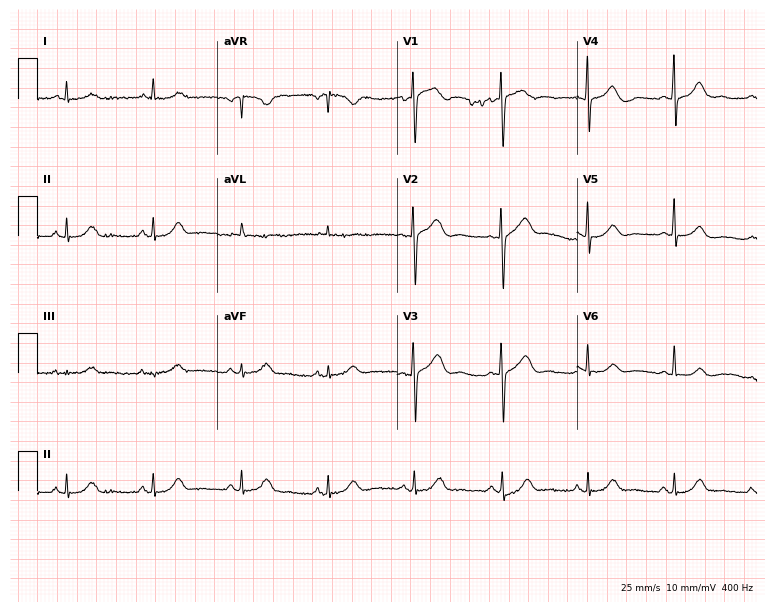
12-lead ECG from a female patient, 79 years old. No first-degree AV block, right bundle branch block, left bundle branch block, sinus bradycardia, atrial fibrillation or sinus tachycardia recorded for this tracing. Only these six findings were labelled.